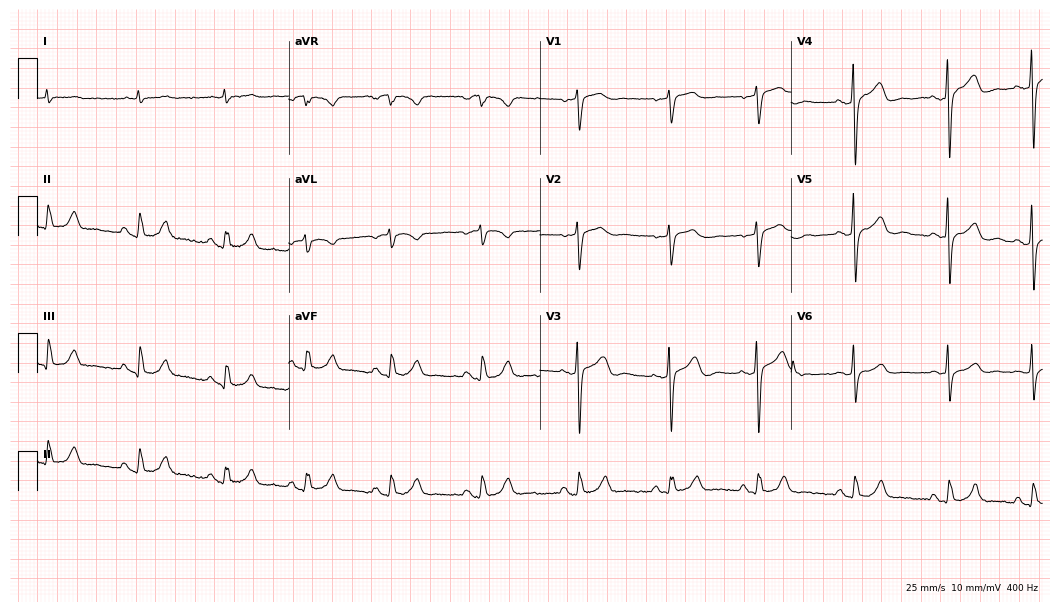
Electrocardiogram (10.2-second recording at 400 Hz), a 56-year-old male. Of the six screened findings (first-degree AV block, right bundle branch block, left bundle branch block, sinus bradycardia, atrial fibrillation, sinus tachycardia), none is recorded. Only these six findings were labelled.